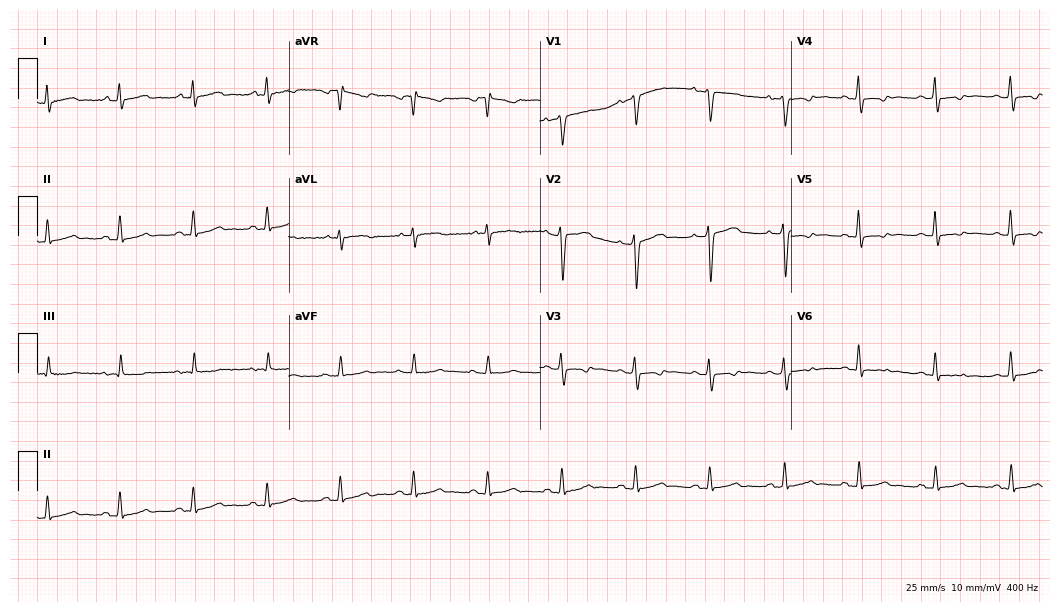
Resting 12-lead electrocardiogram. Patient: a female, 56 years old. None of these six findings is recorded: first-degree AV block, right bundle branch block, left bundle branch block, sinus bradycardia, atrial fibrillation, sinus tachycardia. Findings outside these six are not listed.